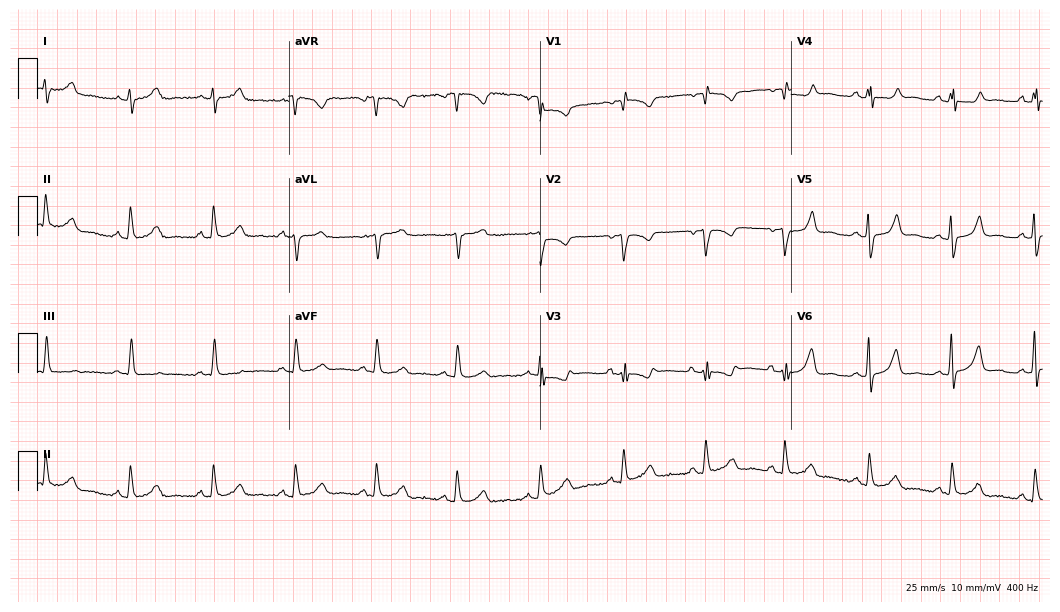
Electrocardiogram (10.2-second recording at 400 Hz), a female patient, 48 years old. Of the six screened findings (first-degree AV block, right bundle branch block, left bundle branch block, sinus bradycardia, atrial fibrillation, sinus tachycardia), none is recorded. Other findings, if any, are not listed.